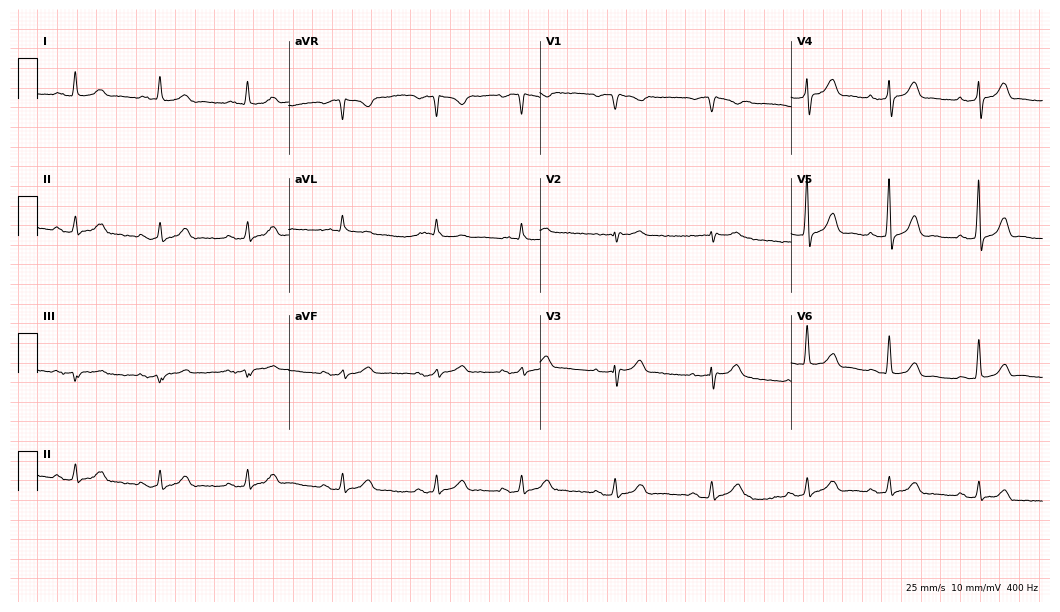
12-lead ECG from a 62-year-old man (10.2-second recording at 400 Hz). Recorded interpretation: within normal limits.